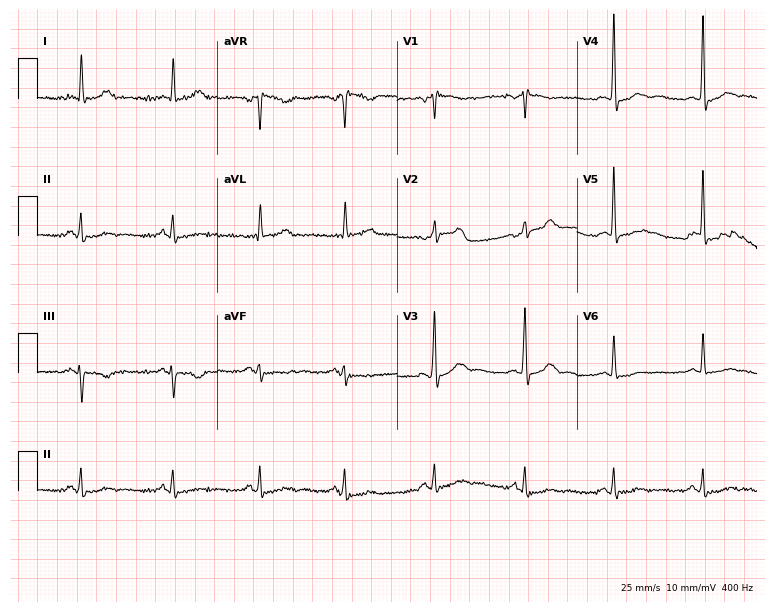
Standard 12-lead ECG recorded from a 72-year-old man. None of these six findings is recorded: first-degree AV block, right bundle branch block, left bundle branch block, sinus bradycardia, atrial fibrillation, sinus tachycardia.